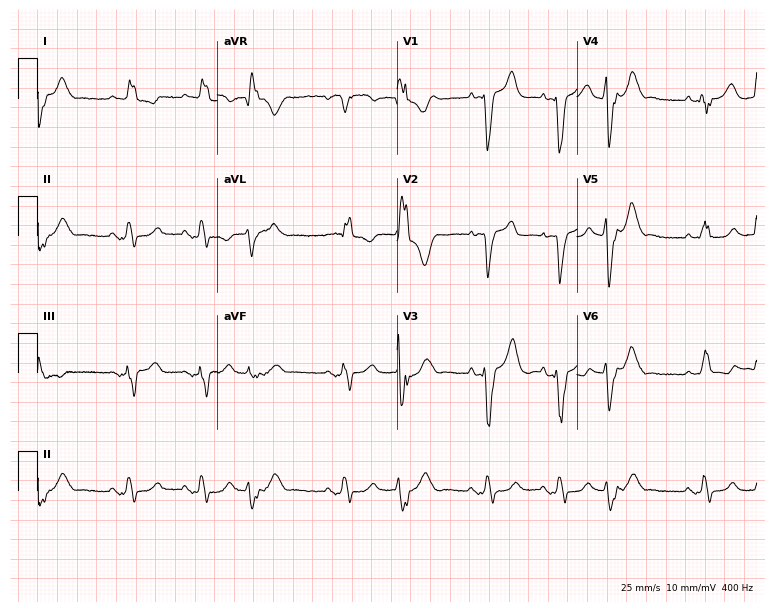
12-lead ECG from a female patient, 80 years old. Findings include left bundle branch block (LBBB).